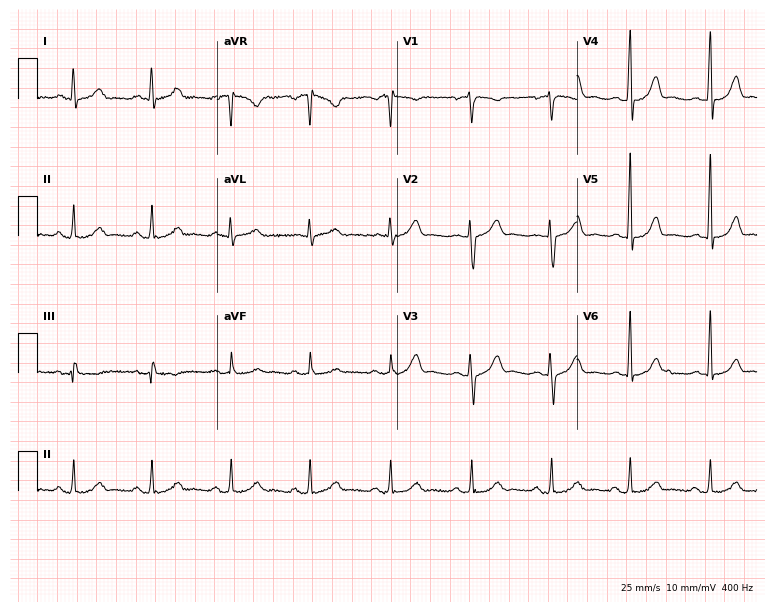
12-lead ECG from a 46-year-old female patient. No first-degree AV block, right bundle branch block (RBBB), left bundle branch block (LBBB), sinus bradycardia, atrial fibrillation (AF) or sinus tachycardia recorded for this tracing. Other findings, if any, are not listed.